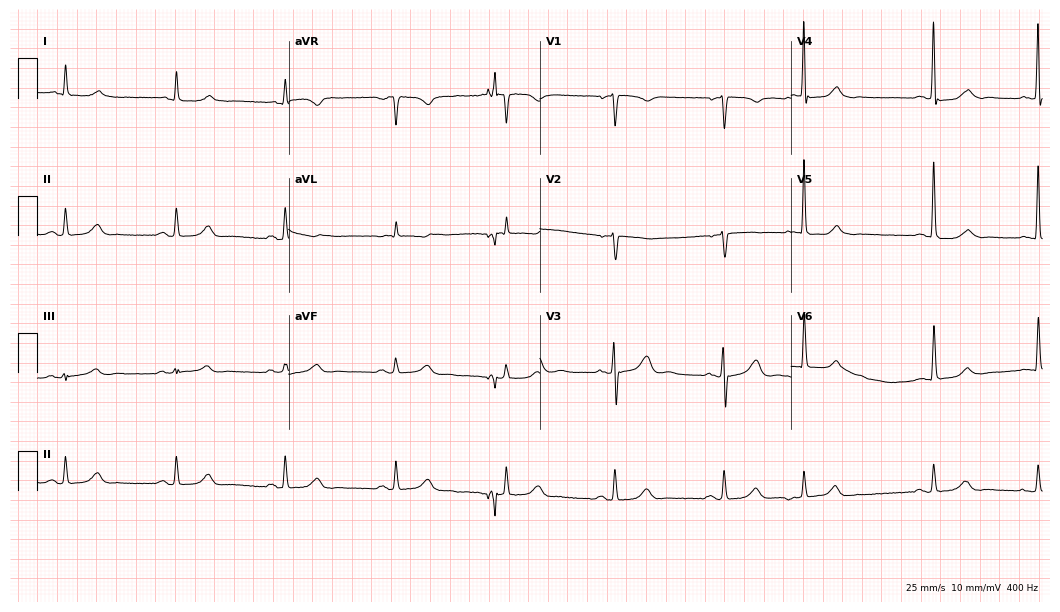
ECG (10.2-second recording at 400 Hz) — a 77-year-old woman. Screened for six findings — first-degree AV block, right bundle branch block (RBBB), left bundle branch block (LBBB), sinus bradycardia, atrial fibrillation (AF), sinus tachycardia — none is recorded.